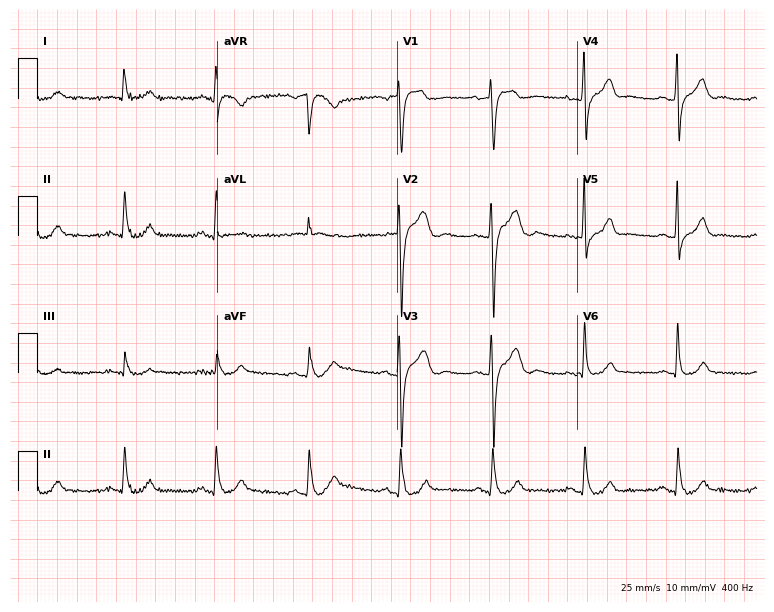
ECG (7.3-second recording at 400 Hz) — a male, 65 years old. Screened for six findings — first-degree AV block, right bundle branch block, left bundle branch block, sinus bradycardia, atrial fibrillation, sinus tachycardia — none is recorded.